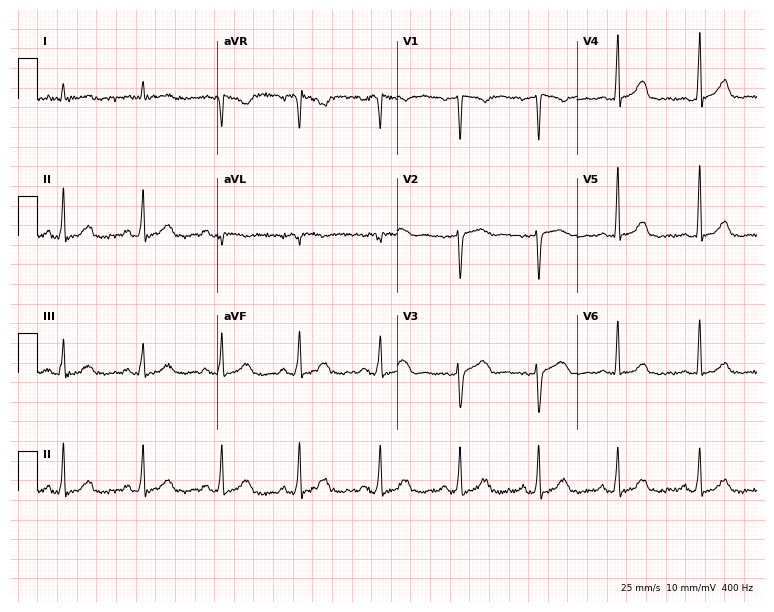
ECG (7.3-second recording at 400 Hz) — a woman, 55 years old. Screened for six findings — first-degree AV block, right bundle branch block (RBBB), left bundle branch block (LBBB), sinus bradycardia, atrial fibrillation (AF), sinus tachycardia — none is recorded.